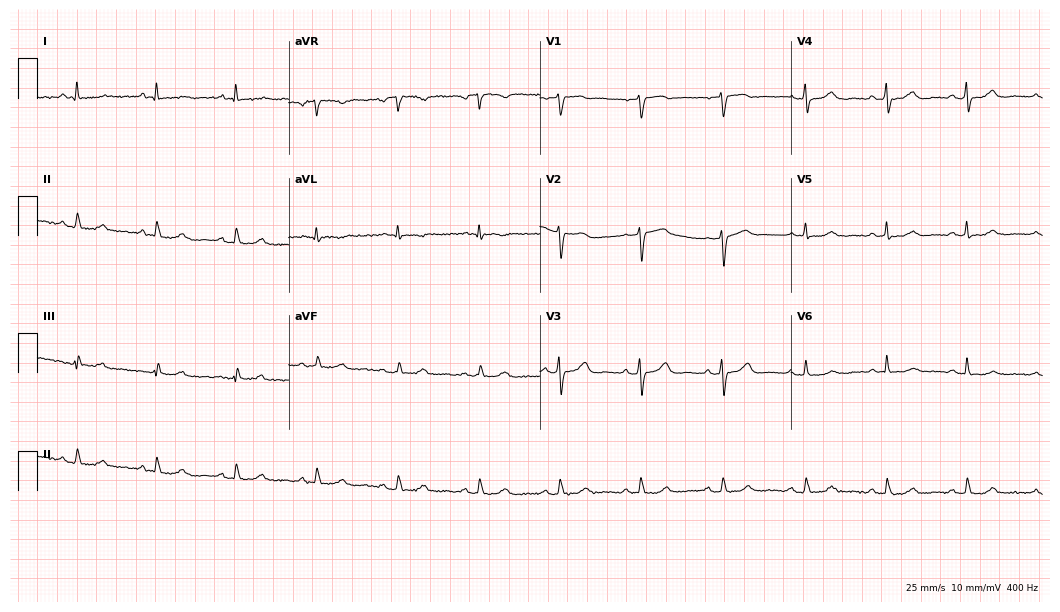
Resting 12-lead electrocardiogram. Patient: a 64-year-old female. Read as a normal ECG.